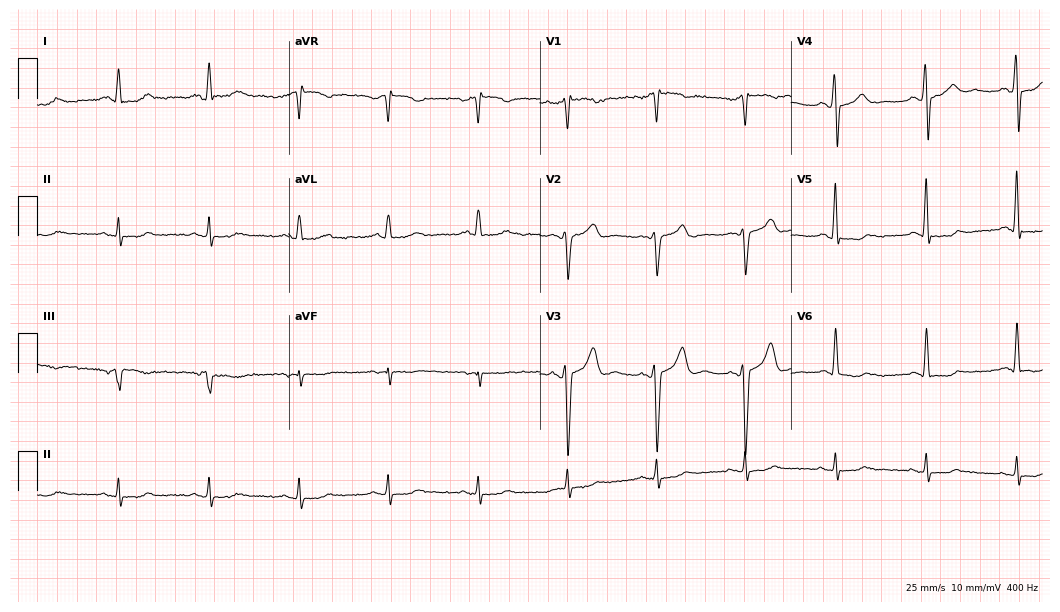
Standard 12-lead ECG recorded from a male patient, 57 years old. None of these six findings is recorded: first-degree AV block, right bundle branch block, left bundle branch block, sinus bradycardia, atrial fibrillation, sinus tachycardia.